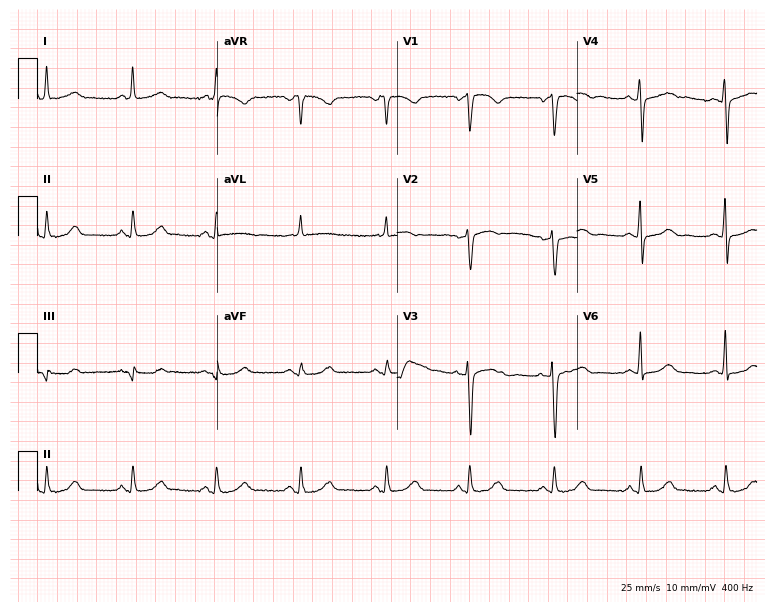
Resting 12-lead electrocardiogram (7.3-second recording at 400 Hz). Patient: a 53-year-old female. None of these six findings is recorded: first-degree AV block, right bundle branch block, left bundle branch block, sinus bradycardia, atrial fibrillation, sinus tachycardia. Other findings, if any, are not listed.